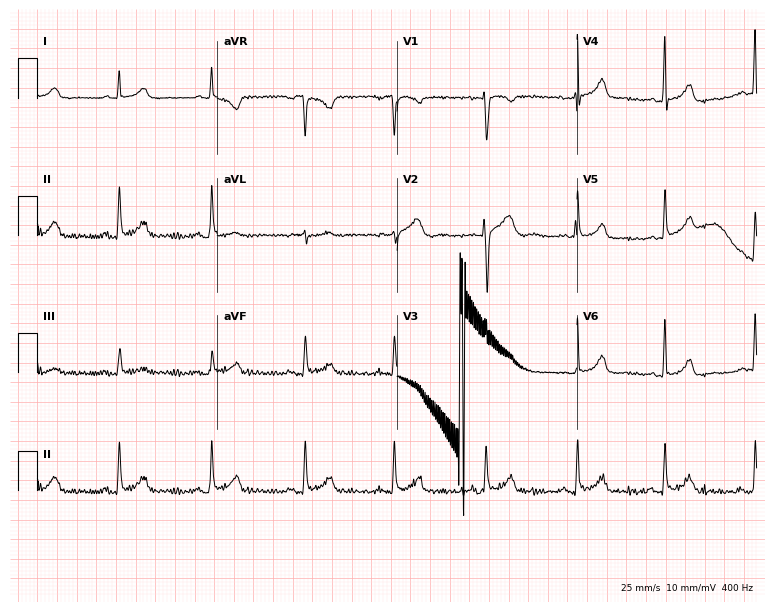
Electrocardiogram, a female, 21 years old. Overall reading on record: normal ECG.